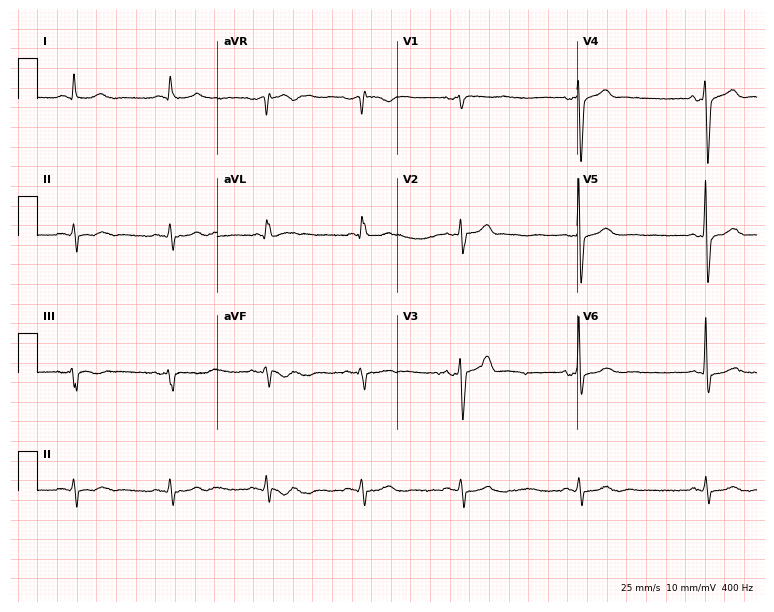
12-lead ECG from a male patient, 67 years old. No first-degree AV block, right bundle branch block (RBBB), left bundle branch block (LBBB), sinus bradycardia, atrial fibrillation (AF) or sinus tachycardia recorded for this tracing.